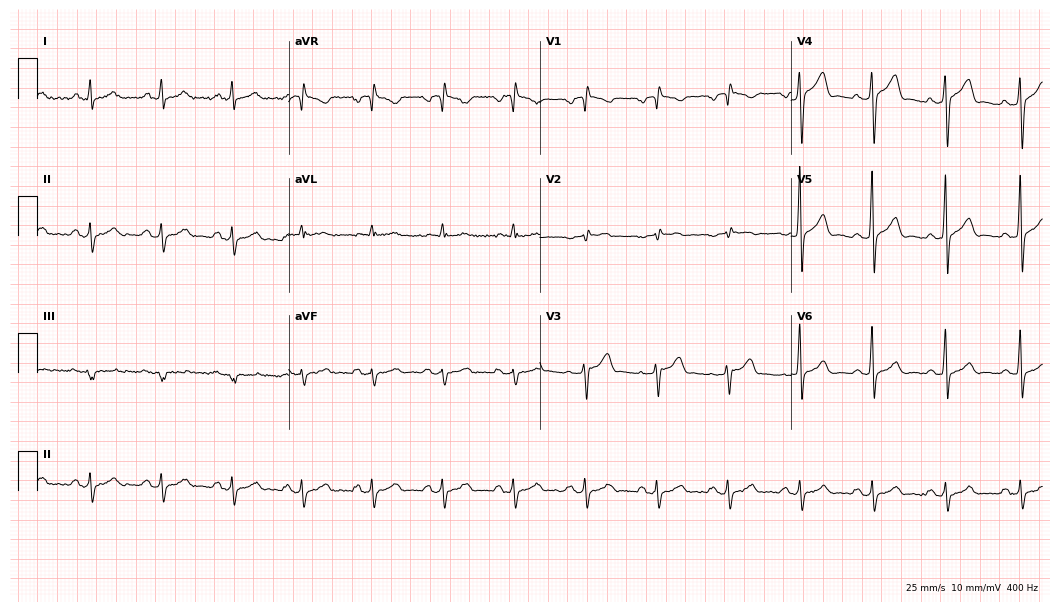
Standard 12-lead ECG recorded from a 51-year-old male. None of these six findings is recorded: first-degree AV block, right bundle branch block (RBBB), left bundle branch block (LBBB), sinus bradycardia, atrial fibrillation (AF), sinus tachycardia. Other findings, if any, are not listed.